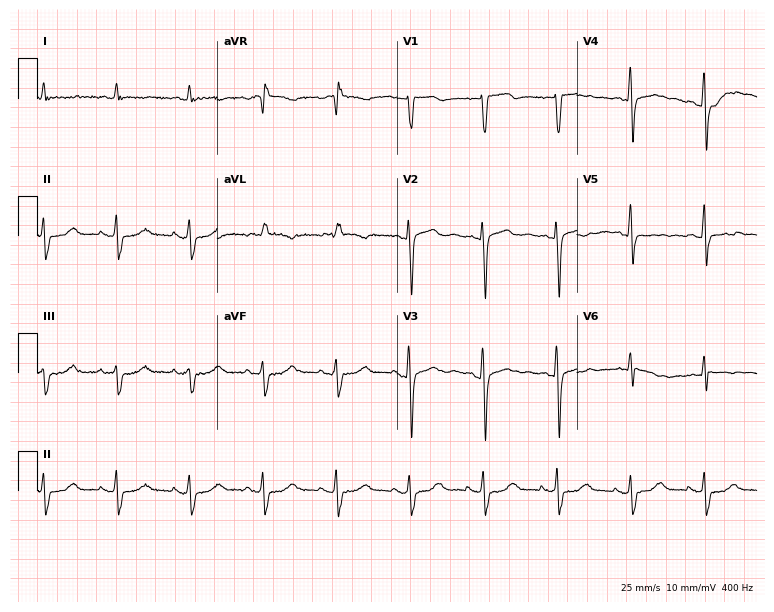
12-lead ECG from a 70-year-old woman. Screened for six findings — first-degree AV block, right bundle branch block, left bundle branch block, sinus bradycardia, atrial fibrillation, sinus tachycardia — none is recorded.